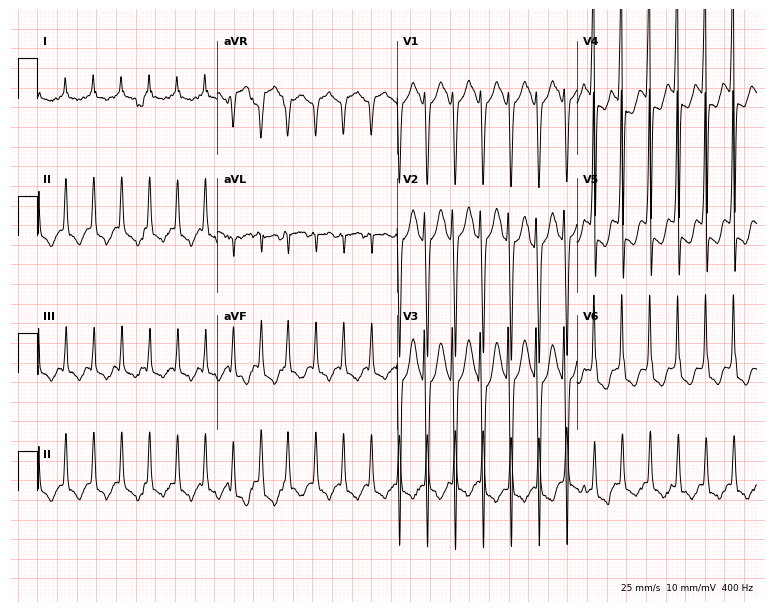
Standard 12-lead ECG recorded from a 38-year-old male patient (7.3-second recording at 400 Hz). The tracing shows sinus tachycardia (a sinus rate of 100 beats per minute or more).